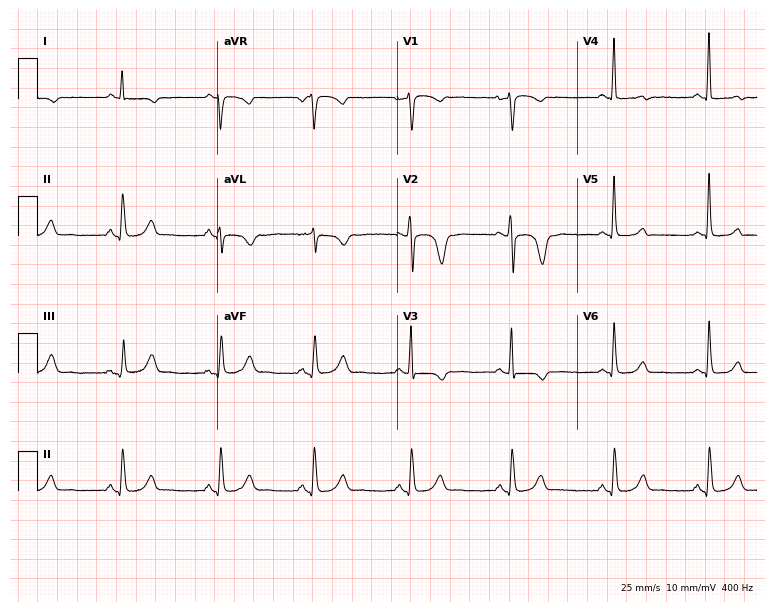
12-lead ECG from a woman, 58 years old. No first-degree AV block, right bundle branch block (RBBB), left bundle branch block (LBBB), sinus bradycardia, atrial fibrillation (AF) or sinus tachycardia recorded for this tracing. Other findings, if any, are not listed.